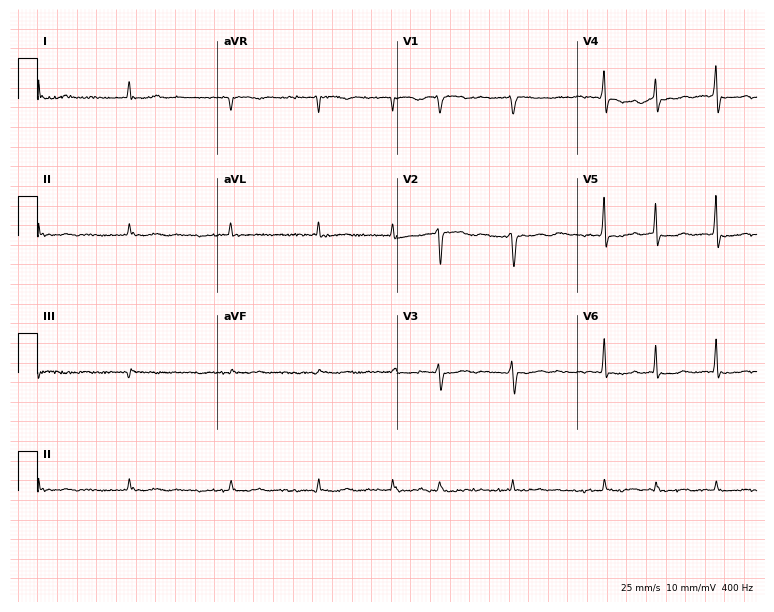
Standard 12-lead ECG recorded from a 78-year-old woman (7.3-second recording at 400 Hz). The tracing shows atrial fibrillation (AF).